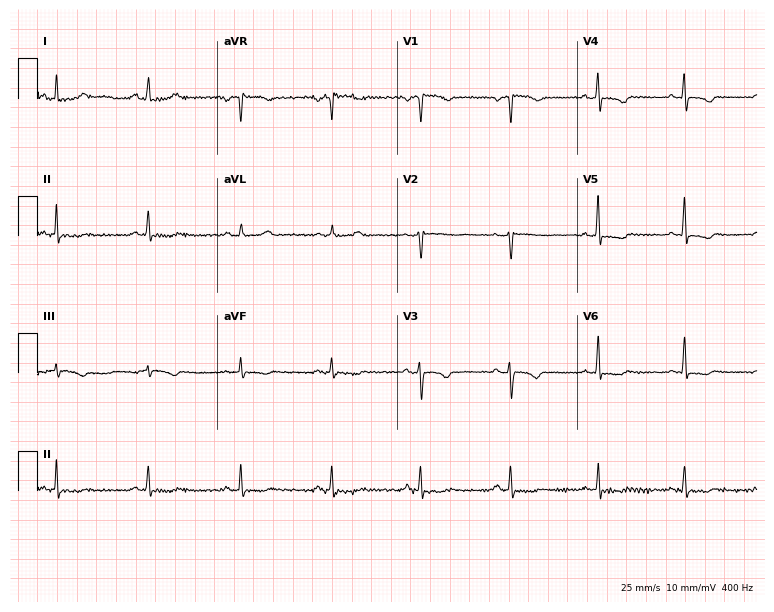
12-lead ECG from a female, 54 years old. No first-degree AV block, right bundle branch block (RBBB), left bundle branch block (LBBB), sinus bradycardia, atrial fibrillation (AF) or sinus tachycardia recorded for this tracing.